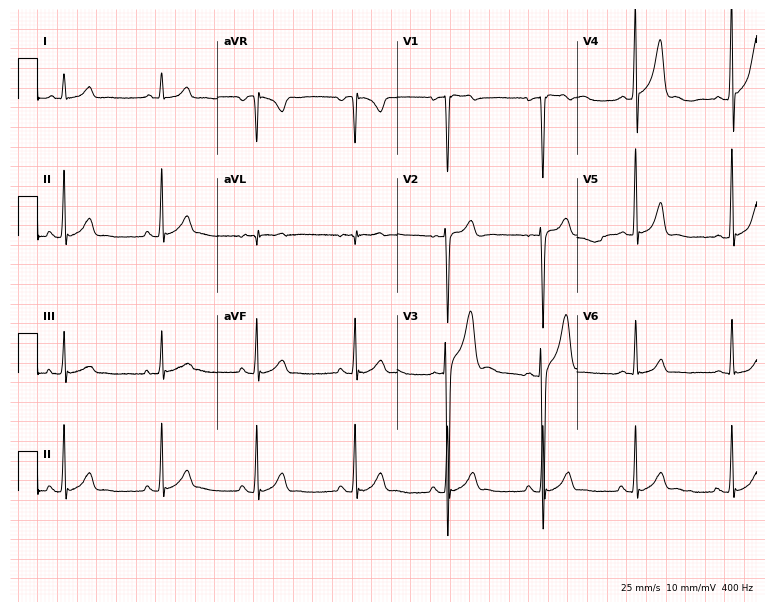
ECG — a male, 17 years old. Labelled as a normal ECG.